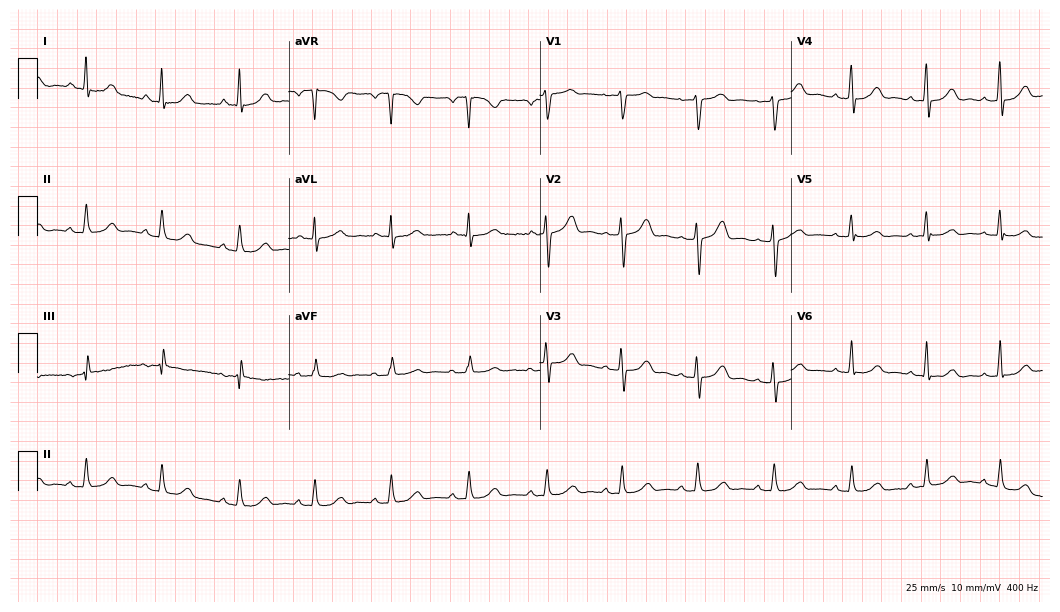
12-lead ECG from a female, 43 years old. Recorded interpretation: within normal limits.